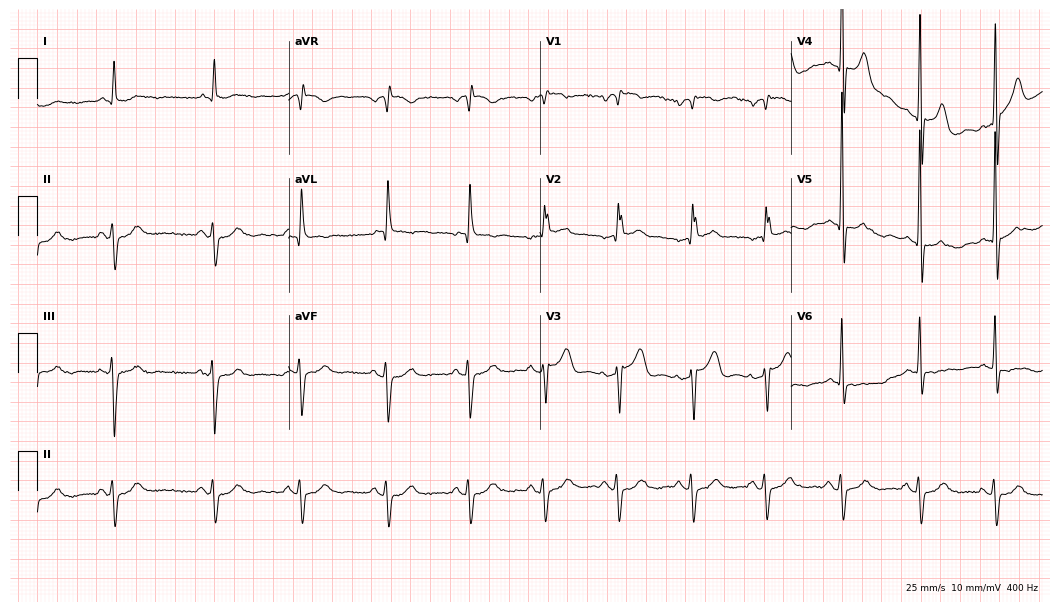
Electrocardiogram (10.2-second recording at 400 Hz), an 85-year-old male patient. Of the six screened findings (first-degree AV block, right bundle branch block, left bundle branch block, sinus bradycardia, atrial fibrillation, sinus tachycardia), none is recorded. Other findings, if any, are not listed.